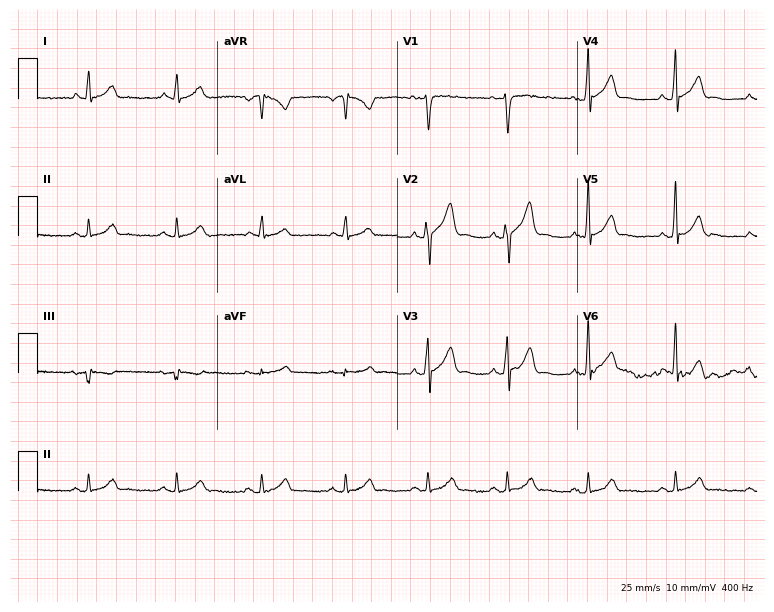
Standard 12-lead ECG recorded from a 28-year-old male (7.3-second recording at 400 Hz). Read as a normal ECG.